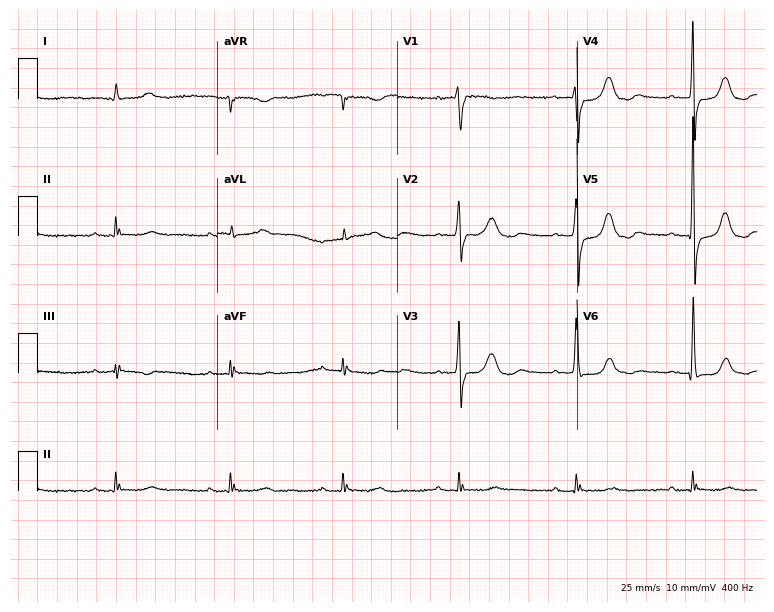
Electrocardiogram (7.3-second recording at 400 Hz), a male patient, 76 years old. Interpretation includes first-degree AV block.